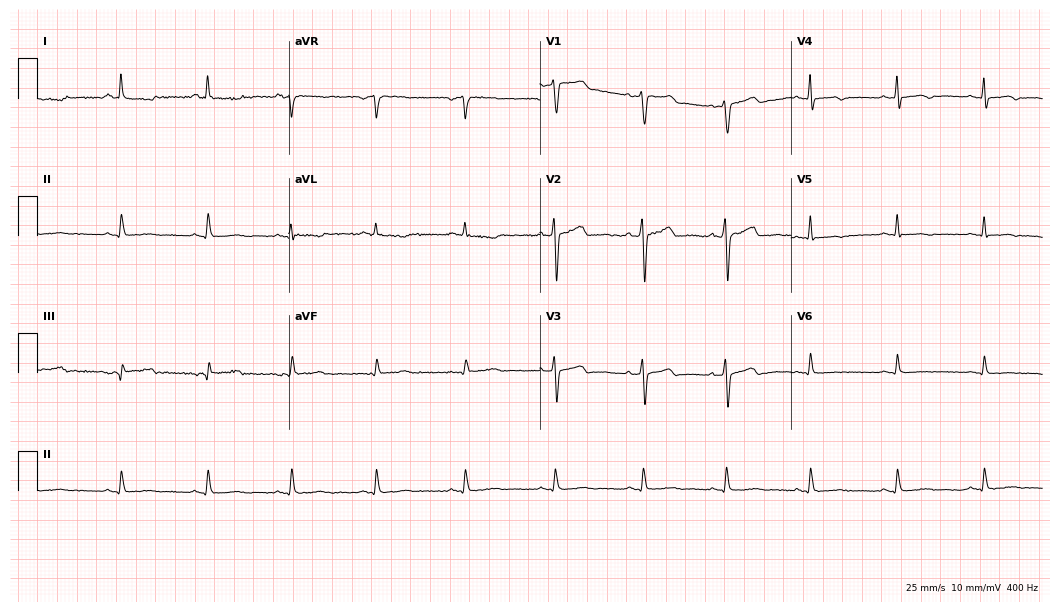
Resting 12-lead electrocardiogram (10.2-second recording at 400 Hz). Patient: a 45-year-old woman. None of these six findings is recorded: first-degree AV block, right bundle branch block, left bundle branch block, sinus bradycardia, atrial fibrillation, sinus tachycardia. Only these six findings were labelled.